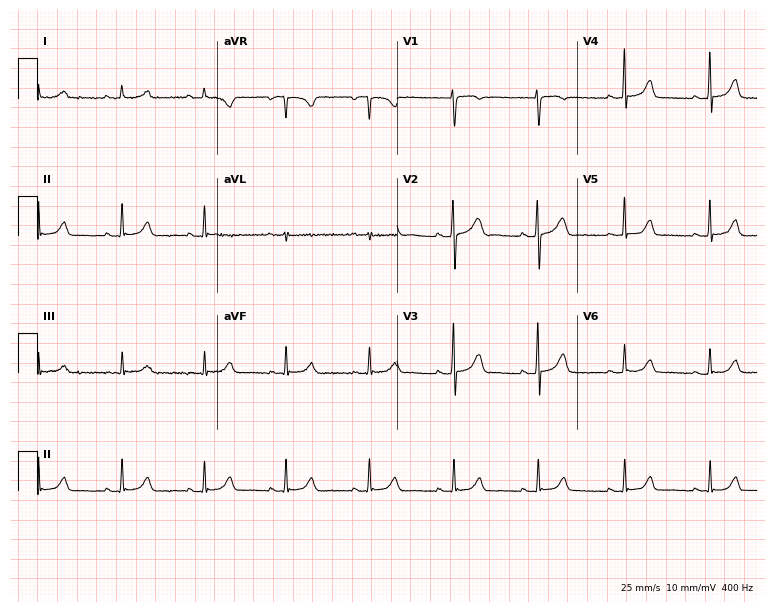
12-lead ECG from a female patient, 24 years old. No first-degree AV block, right bundle branch block, left bundle branch block, sinus bradycardia, atrial fibrillation or sinus tachycardia recorded for this tracing. Only these six findings were labelled.